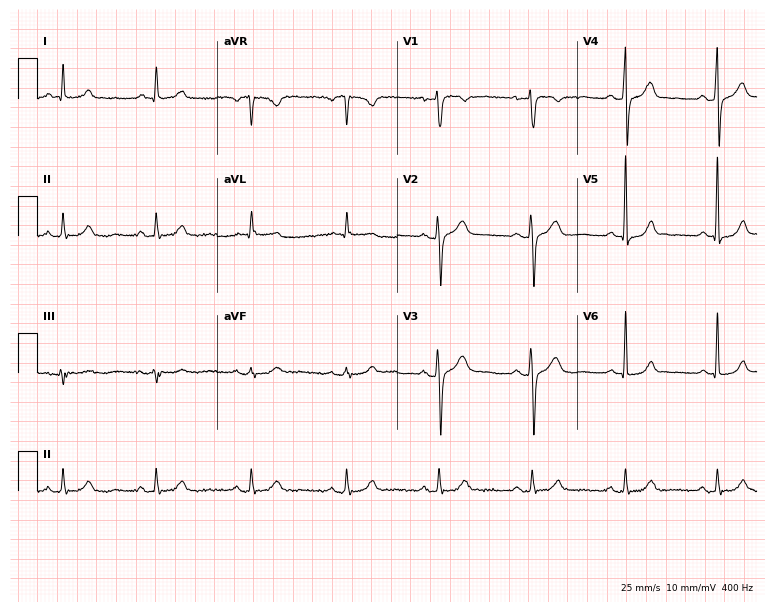
Standard 12-lead ECG recorded from a woman, 71 years old. None of these six findings is recorded: first-degree AV block, right bundle branch block (RBBB), left bundle branch block (LBBB), sinus bradycardia, atrial fibrillation (AF), sinus tachycardia. Other findings, if any, are not listed.